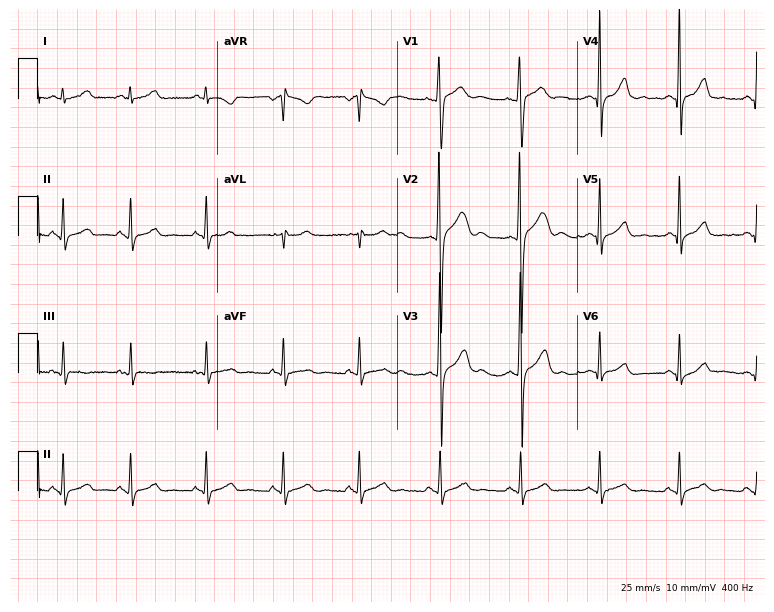
Resting 12-lead electrocardiogram. Patient: a 25-year-old man. Read as a normal ECG.